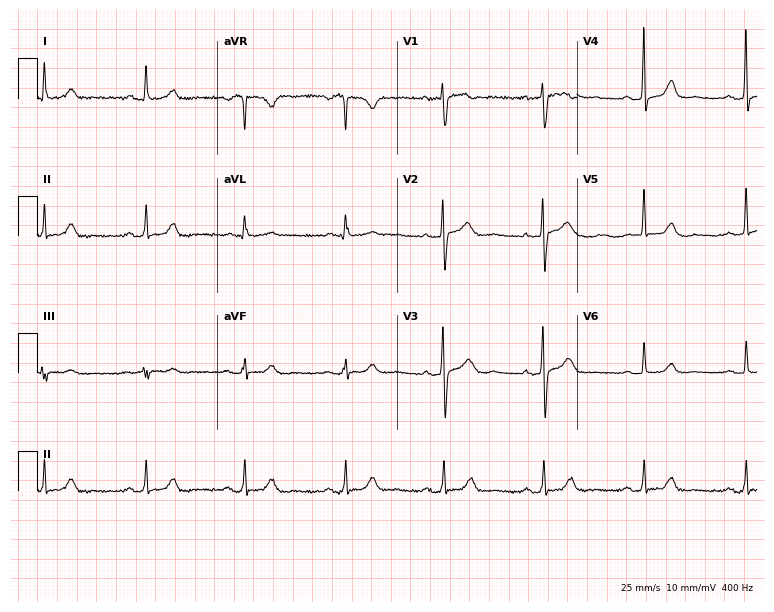
Standard 12-lead ECG recorded from a 46-year-old female patient. Read as a normal ECG.